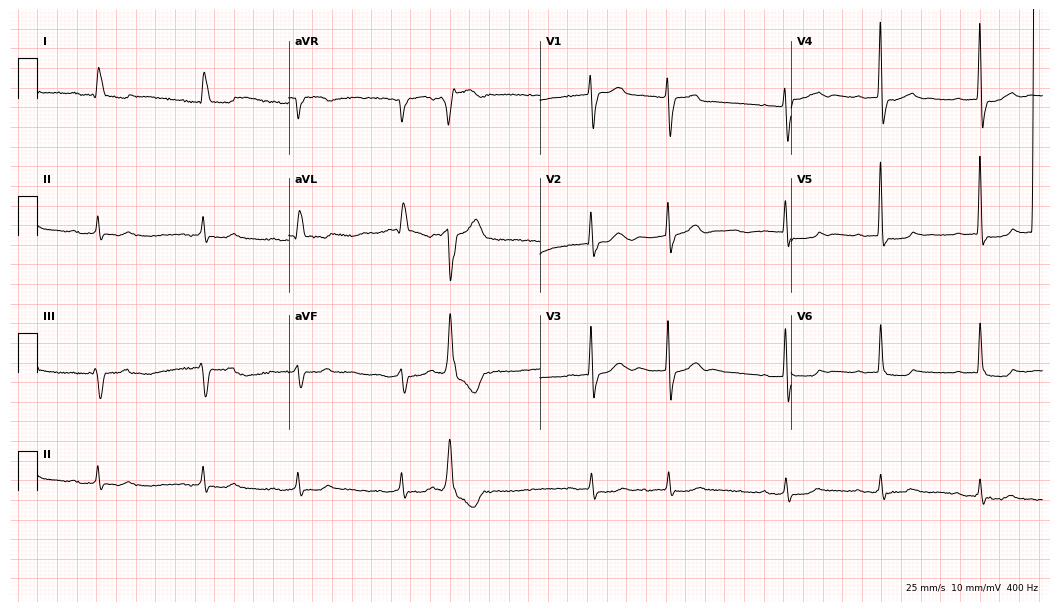
12-lead ECG from an 83-year-old female patient (10.2-second recording at 400 Hz). No first-degree AV block, right bundle branch block (RBBB), left bundle branch block (LBBB), sinus bradycardia, atrial fibrillation (AF) or sinus tachycardia recorded for this tracing. Findings outside these six are not listed.